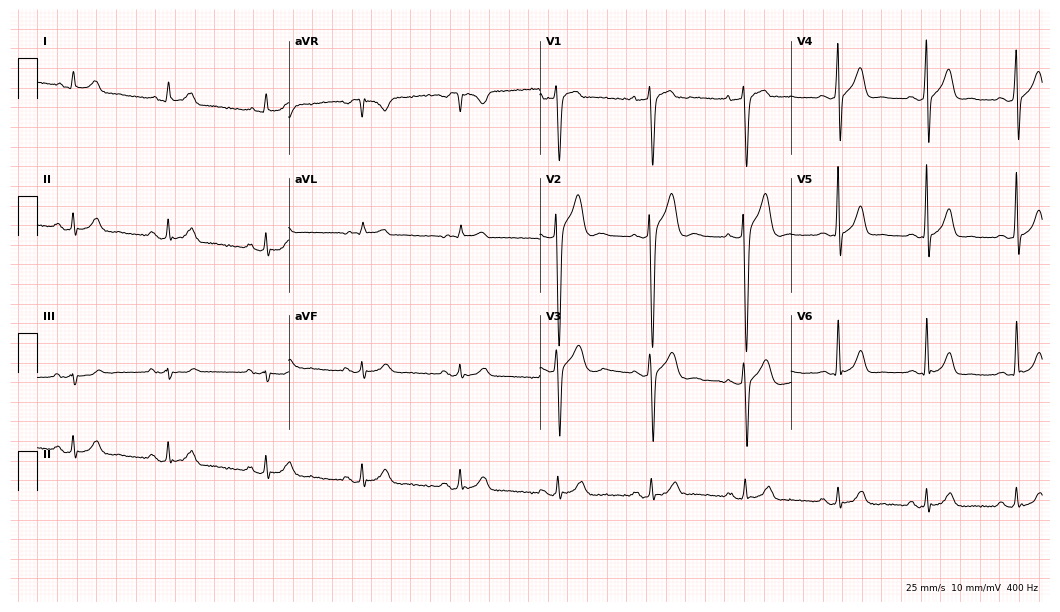
Electrocardiogram, a 29-year-old male patient. Of the six screened findings (first-degree AV block, right bundle branch block (RBBB), left bundle branch block (LBBB), sinus bradycardia, atrial fibrillation (AF), sinus tachycardia), none is recorded. Other findings, if any, are not listed.